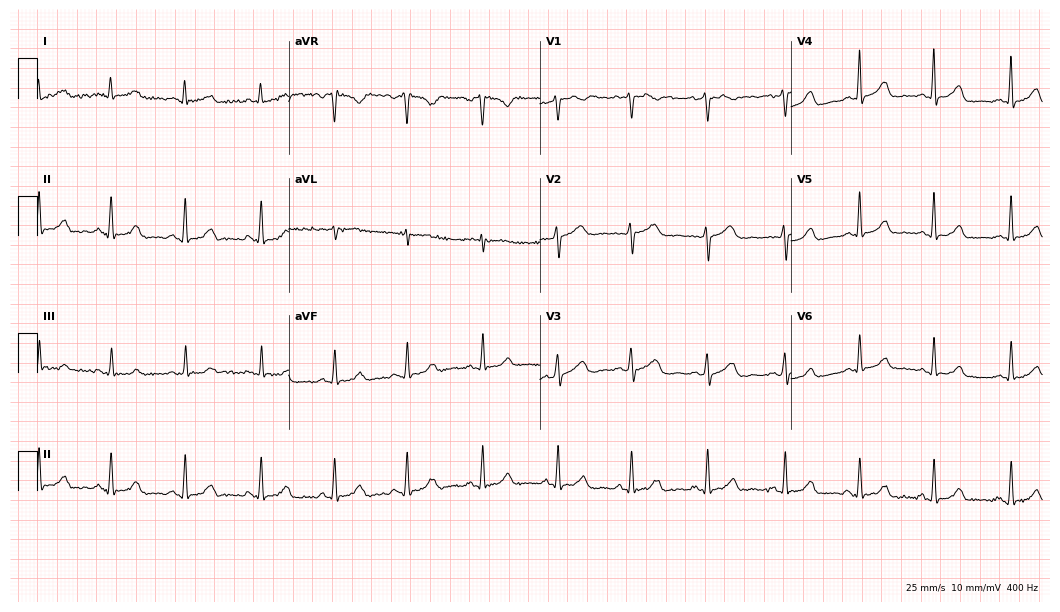
12-lead ECG (10.2-second recording at 400 Hz) from a woman, 39 years old. Labelled as a normal ECG.